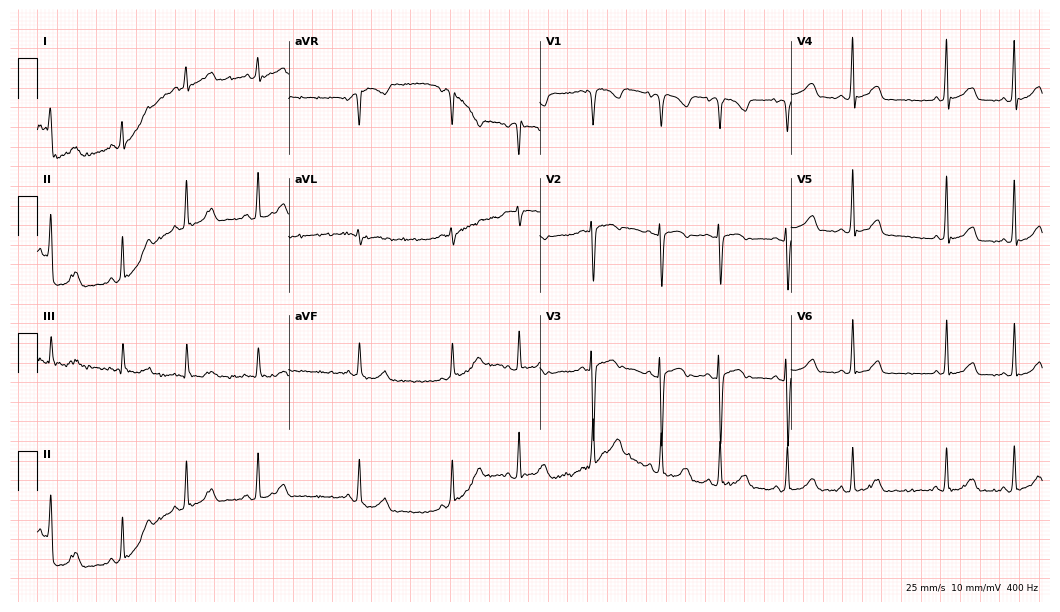
12-lead ECG (10.2-second recording at 400 Hz) from a female patient, 34 years old. Labelled as a normal ECG.